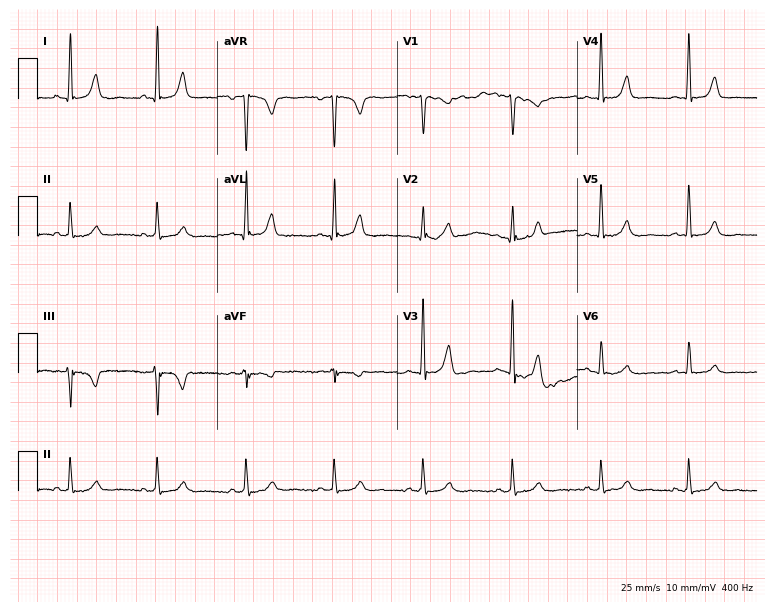
Electrocardiogram, a 59-year-old man. Of the six screened findings (first-degree AV block, right bundle branch block (RBBB), left bundle branch block (LBBB), sinus bradycardia, atrial fibrillation (AF), sinus tachycardia), none is recorded.